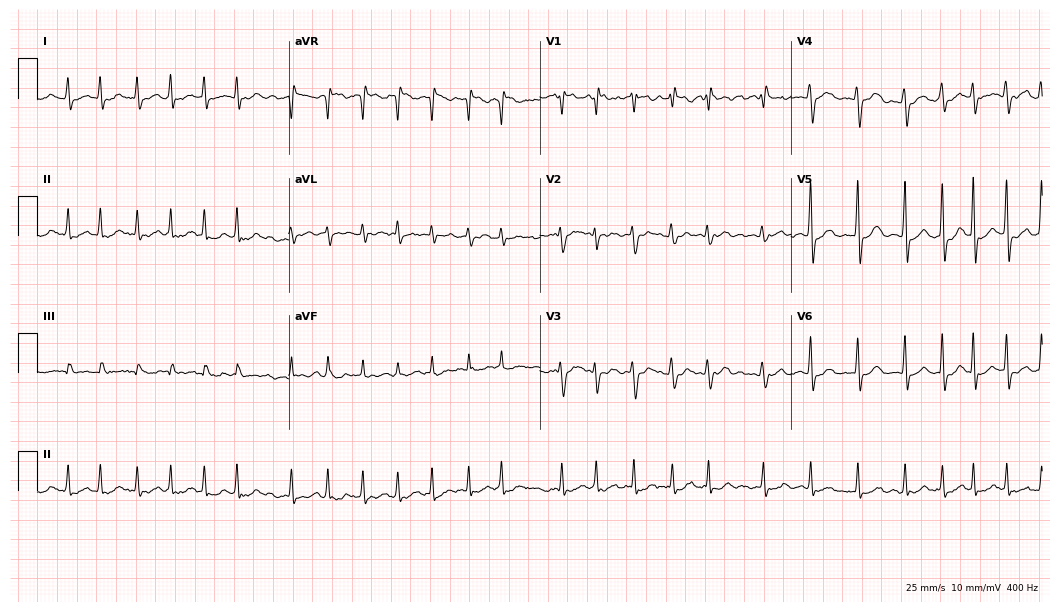
Standard 12-lead ECG recorded from a 69-year-old male patient. The tracing shows atrial fibrillation.